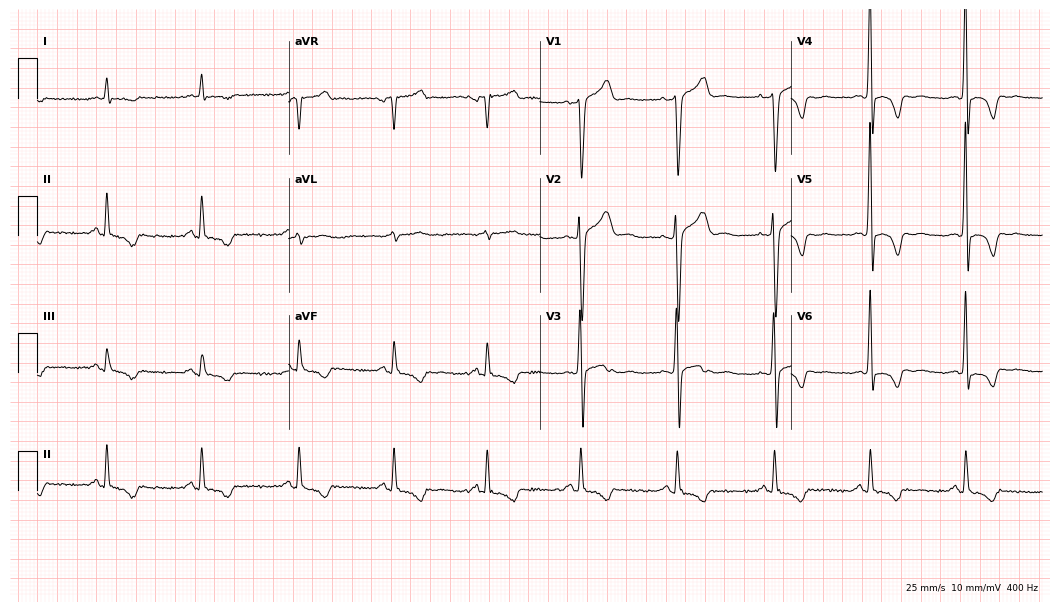
12-lead ECG from a male, 71 years old. No first-degree AV block, right bundle branch block, left bundle branch block, sinus bradycardia, atrial fibrillation or sinus tachycardia recorded for this tracing. Only these six findings were labelled.